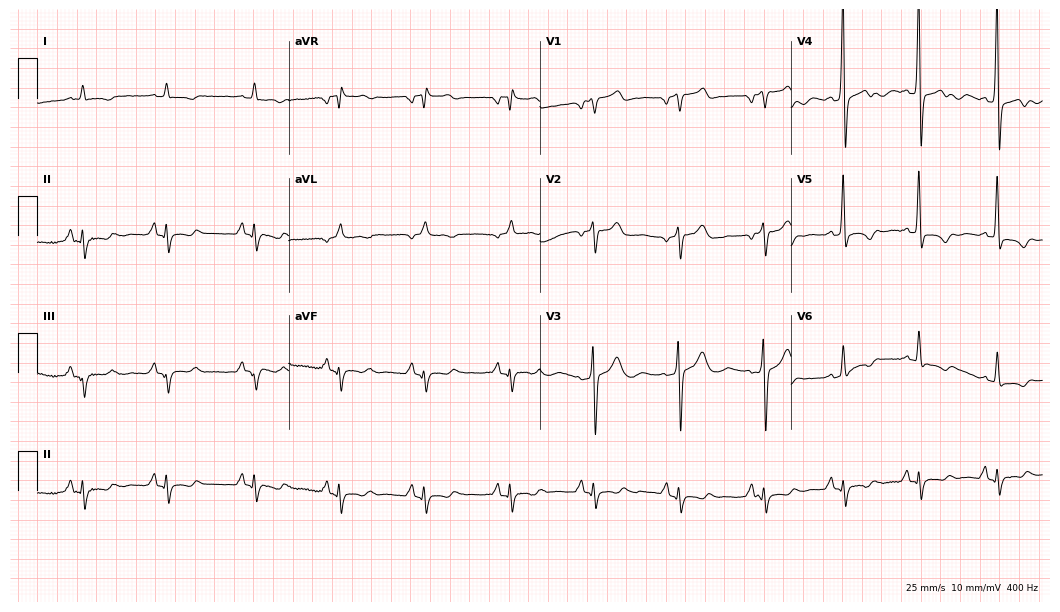
12-lead ECG from a 56-year-old man. No first-degree AV block, right bundle branch block, left bundle branch block, sinus bradycardia, atrial fibrillation or sinus tachycardia recorded for this tracing. Only these six findings were labelled.